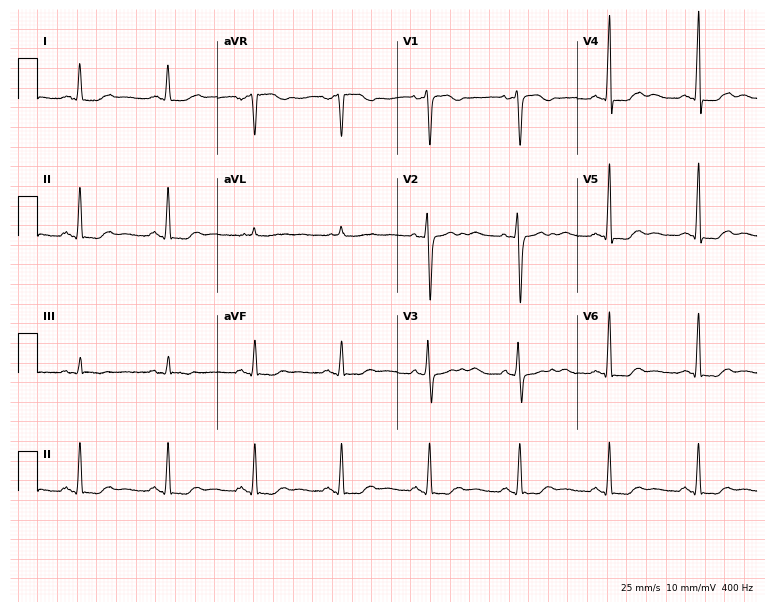
12-lead ECG from a female patient, 40 years old (7.3-second recording at 400 Hz). No first-degree AV block, right bundle branch block, left bundle branch block, sinus bradycardia, atrial fibrillation or sinus tachycardia recorded for this tracing. Only these six findings were labelled.